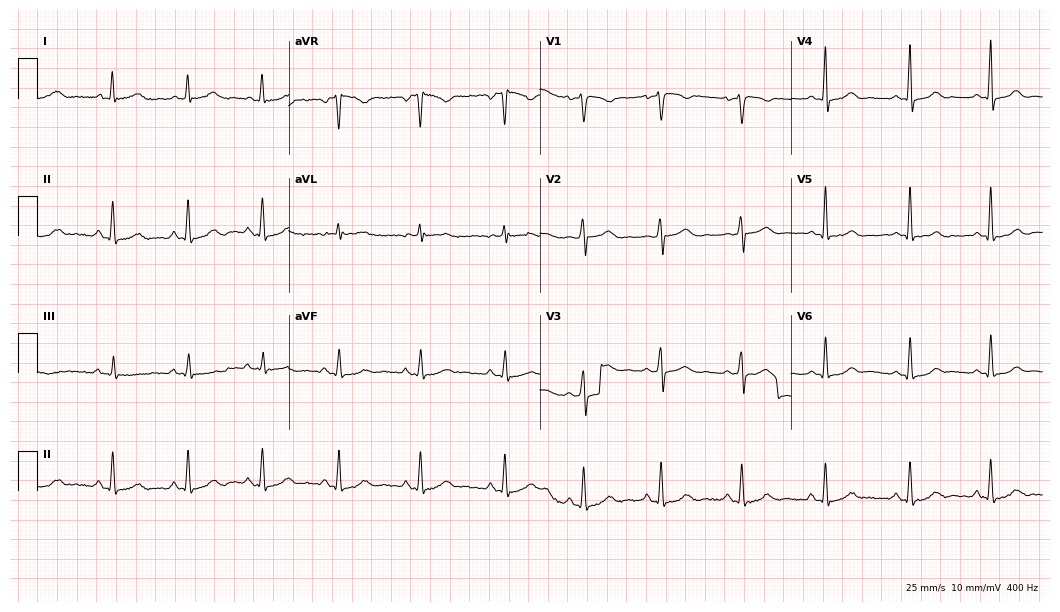
Electrocardiogram, a 37-year-old female patient. Overall reading on record: normal ECG.